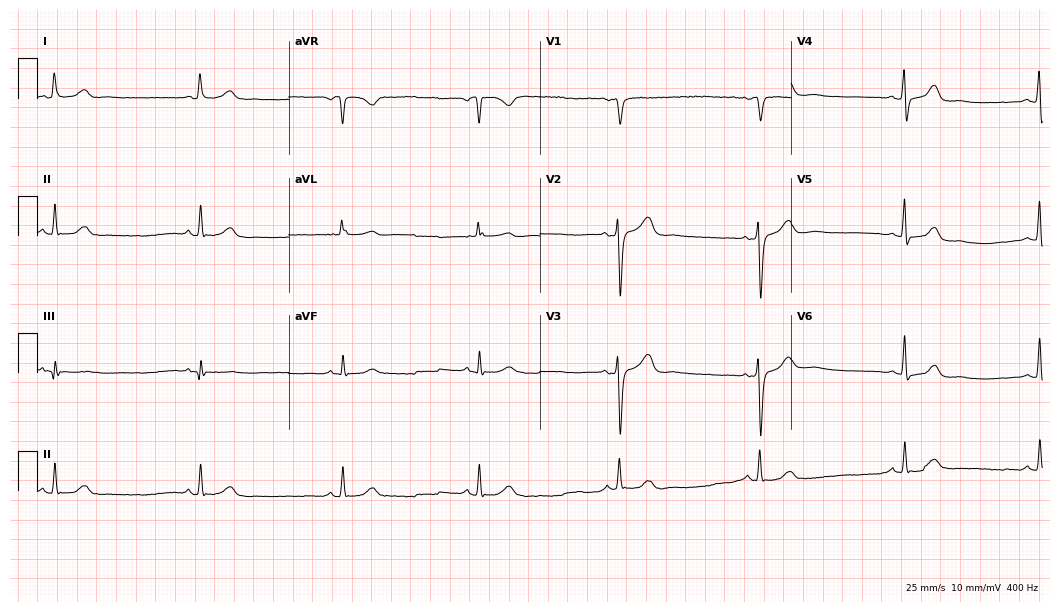
ECG — a 74-year-old woman. Findings include sinus bradycardia (a sinus rate of 50 beats per minute or less).